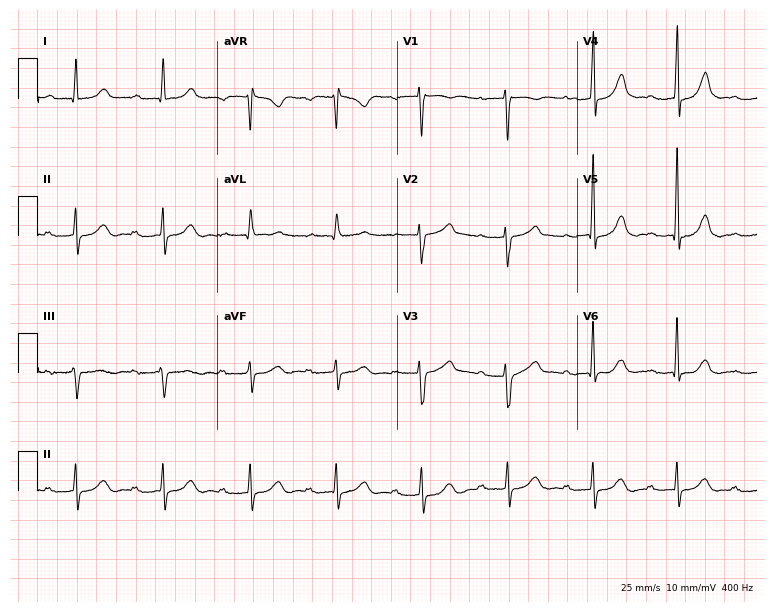
Standard 12-lead ECG recorded from a 73-year-old woman (7.3-second recording at 400 Hz). The tracing shows first-degree AV block.